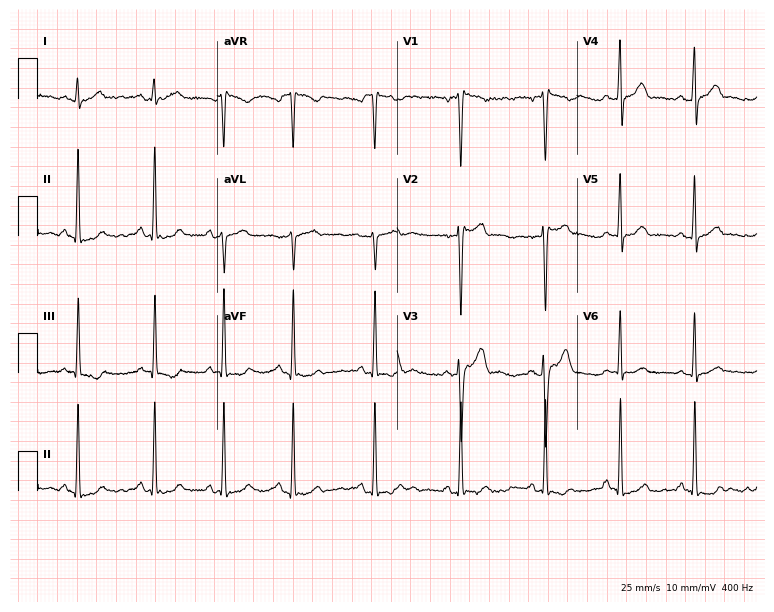
12-lead ECG (7.3-second recording at 400 Hz) from a male, 18 years old. Labelled as a normal ECG.